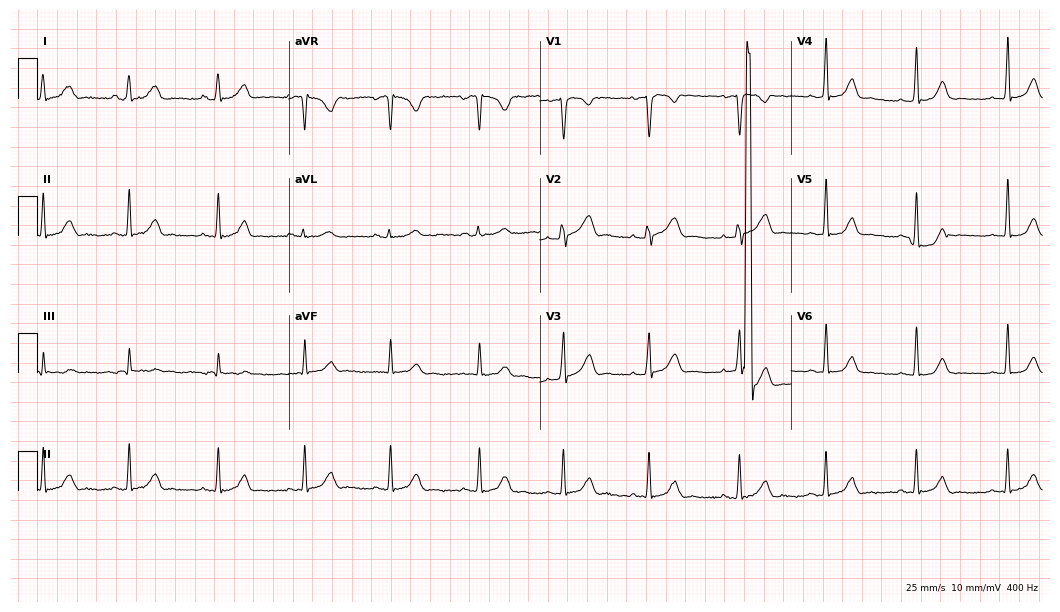
Standard 12-lead ECG recorded from a 31-year-old female. None of these six findings is recorded: first-degree AV block, right bundle branch block (RBBB), left bundle branch block (LBBB), sinus bradycardia, atrial fibrillation (AF), sinus tachycardia. Other findings, if any, are not listed.